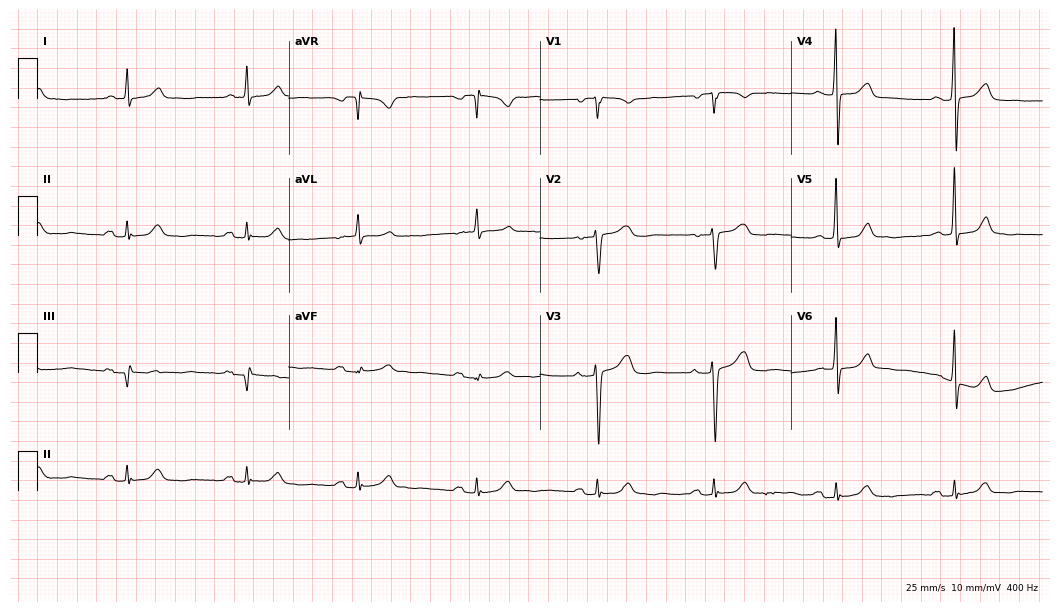
Standard 12-lead ECG recorded from a female, 58 years old (10.2-second recording at 400 Hz). The tracing shows sinus bradycardia (a sinus rate of 50 beats per minute or less).